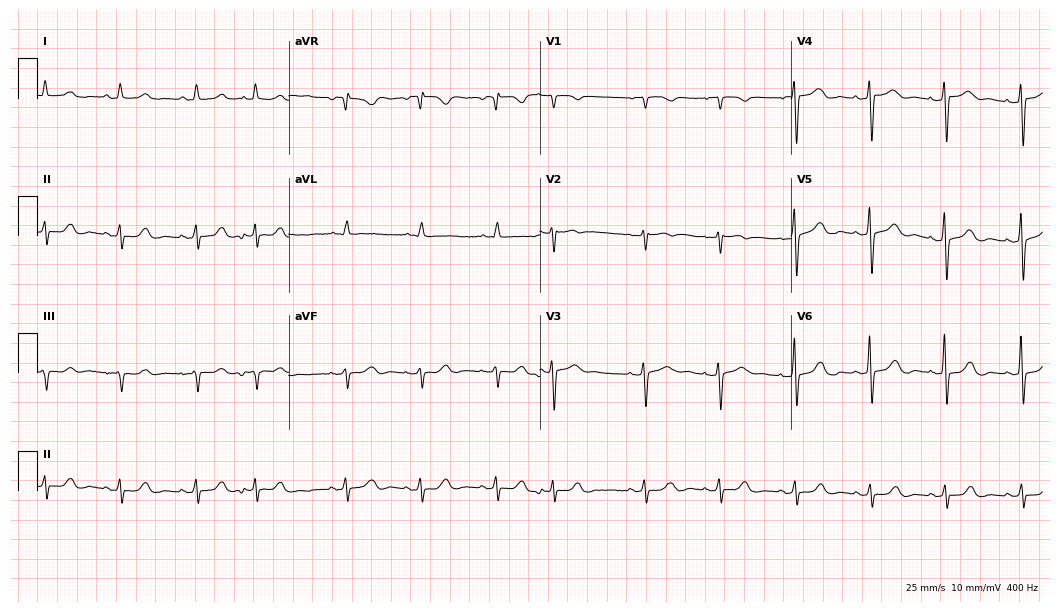
Electrocardiogram, a woman, 79 years old. Of the six screened findings (first-degree AV block, right bundle branch block, left bundle branch block, sinus bradycardia, atrial fibrillation, sinus tachycardia), none is recorded.